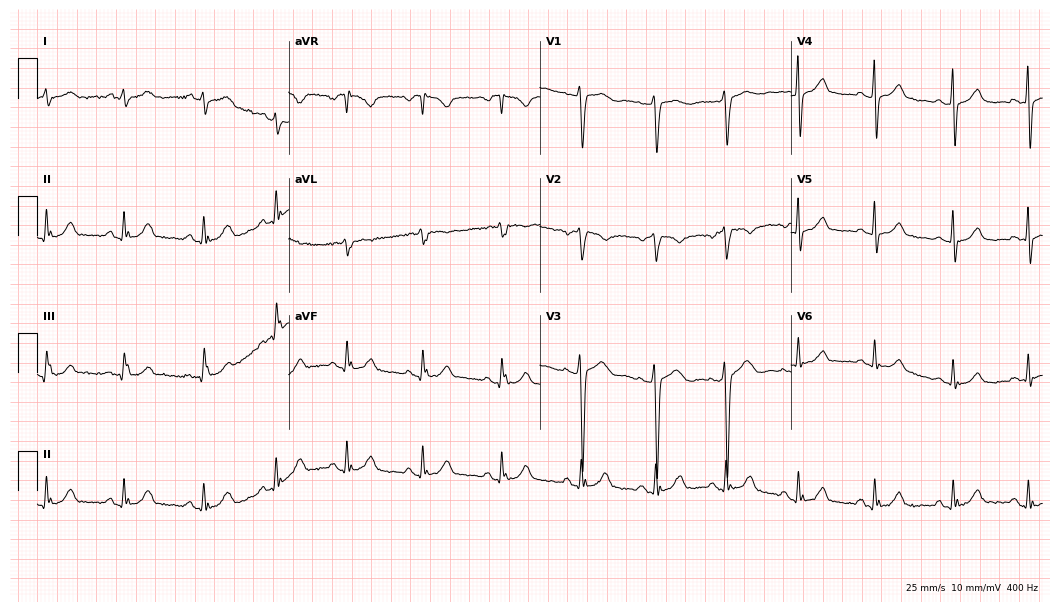
Resting 12-lead electrocardiogram. Patient: a 41-year-old female. Read as a normal ECG.